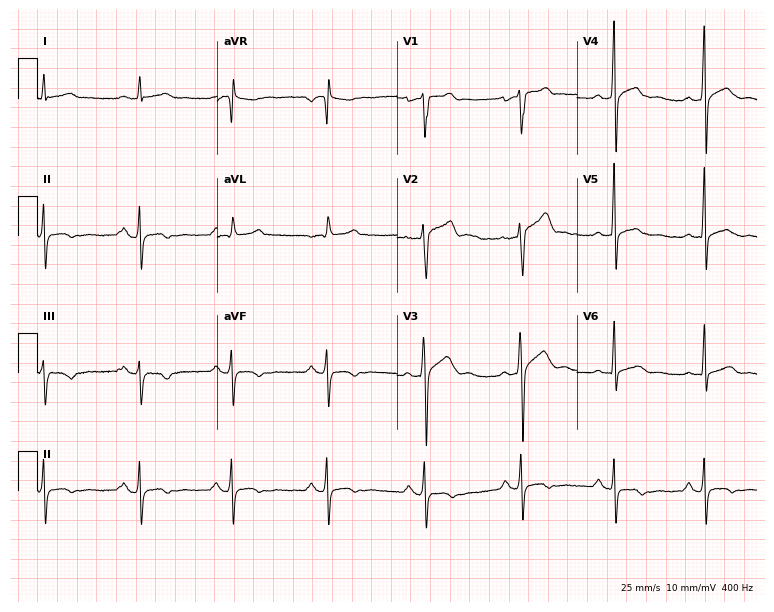
Standard 12-lead ECG recorded from a 52-year-old male (7.3-second recording at 400 Hz). None of these six findings is recorded: first-degree AV block, right bundle branch block, left bundle branch block, sinus bradycardia, atrial fibrillation, sinus tachycardia.